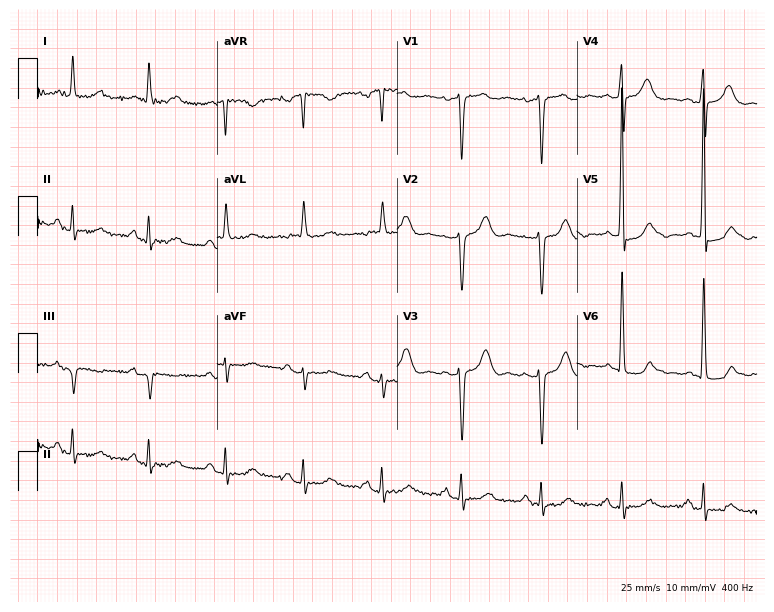
12-lead ECG from a female patient, 70 years old (7.3-second recording at 400 Hz). No first-degree AV block, right bundle branch block (RBBB), left bundle branch block (LBBB), sinus bradycardia, atrial fibrillation (AF) or sinus tachycardia recorded for this tracing. Other findings, if any, are not listed.